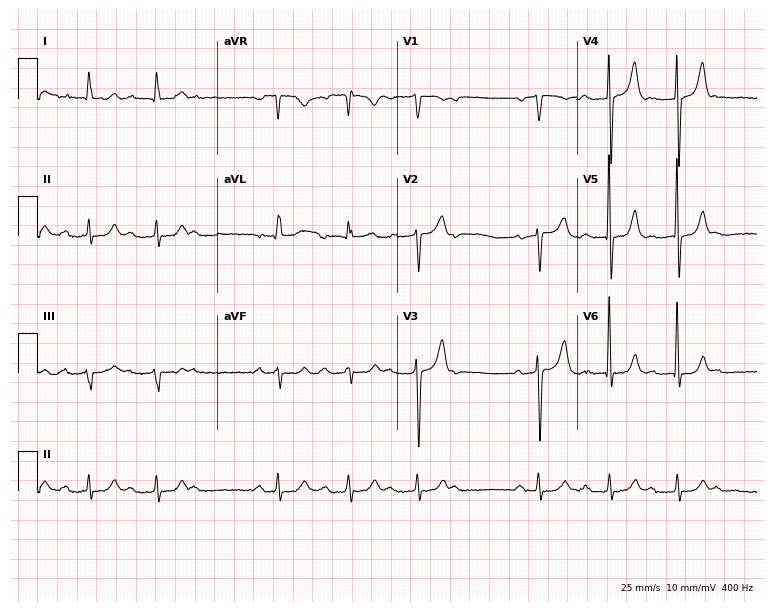
Electrocardiogram (7.3-second recording at 400 Hz), a man, 82 years old. Of the six screened findings (first-degree AV block, right bundle branch block, left bundle branch block, sinus bradycardia, atrial fibrillation, sinus tachycardia), none is recorded.